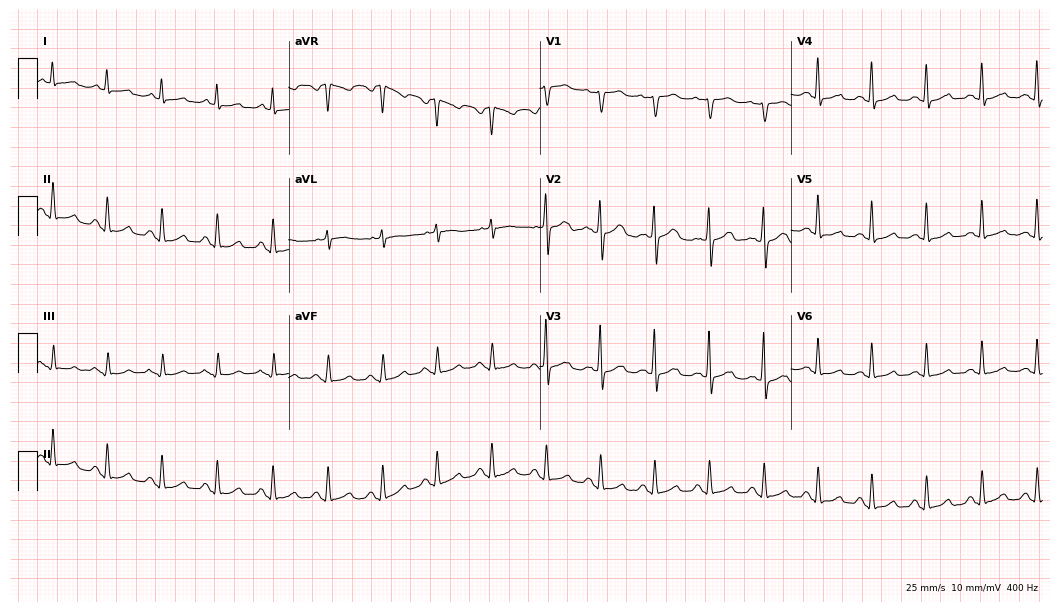
12-lead ECG (10.2-second recording at 400 Hz) from a female, 54 years old. Findings include sinus tachycardia (a sinus rate of 100 beats per minute or more).